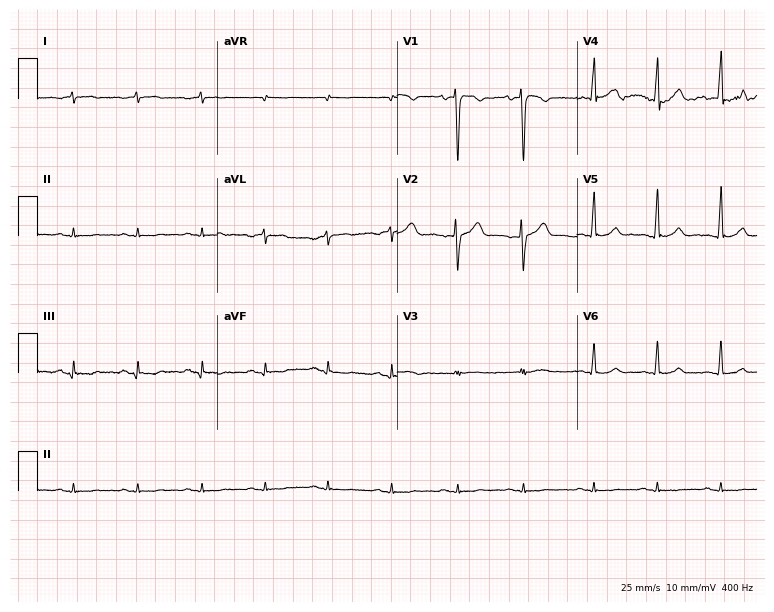
Electrocardiogram (7.3-second recording at 400 Hz), a woman, 44 years old. Of the six screened findings (first-degree AV block, right bundle branch block, left bundle branch block, sinus bradycardia, atrial fibrillation, sinus tachycardia), none is recorded. Findings outside these six are not listed.